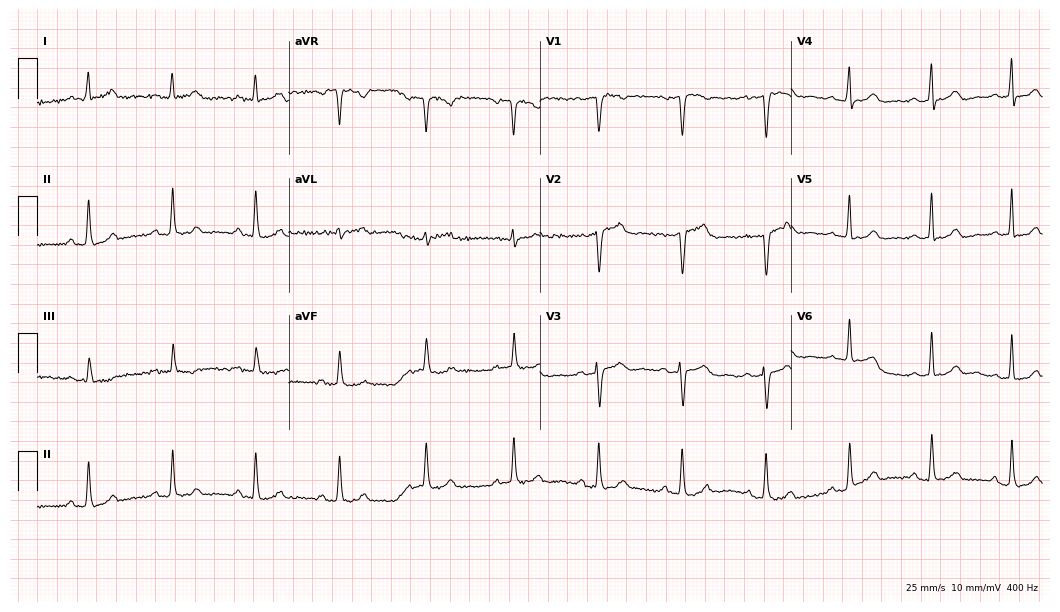
Electrocardiogram (10.2-second recording at 400 Hz), a 48-year-old female patient. Overall reading on record: normal ECG.